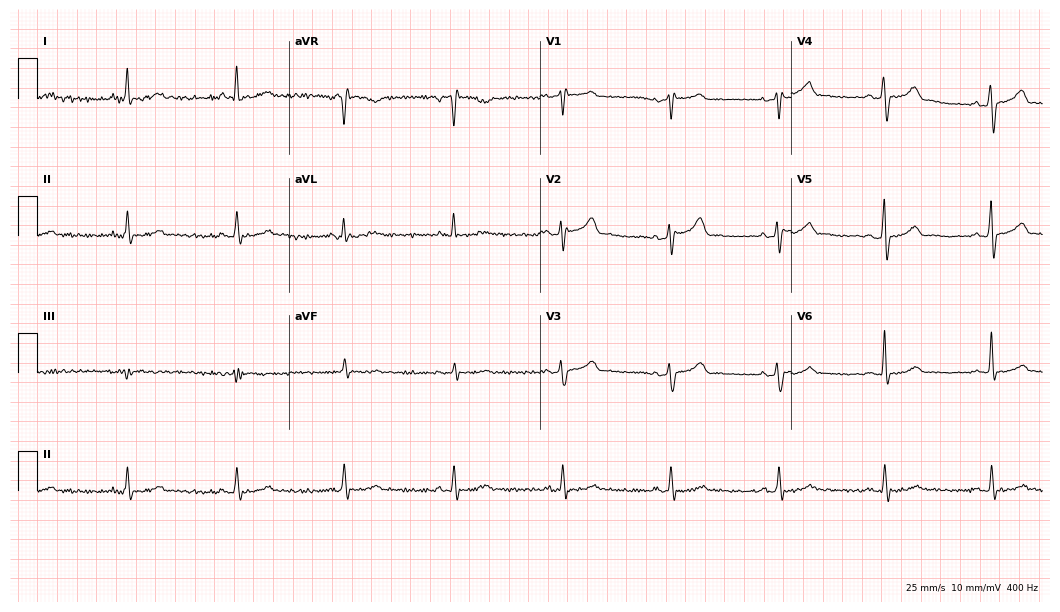
ECG — a man, 46 years old. Screened for six findings — first-degree AV block, right bundle branch block (RBBB), left bundle branch block (LBBB), sinus bradycardia, atrial fibrillation (AF), sinus tachycardia — none is recorded. Findings outside these six are not listed.